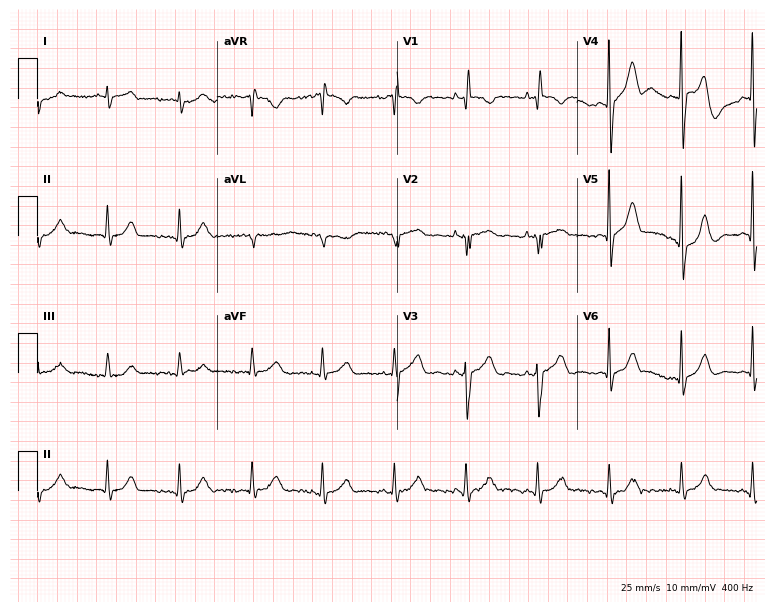
12-lead ECG from an 80-year-old female. Screened for six findings — first-degree AV block, right bundle branch block, left bundle branch block, sinus bradycardia, atrial fibrillation, sinus tachycardia — none is recorded.